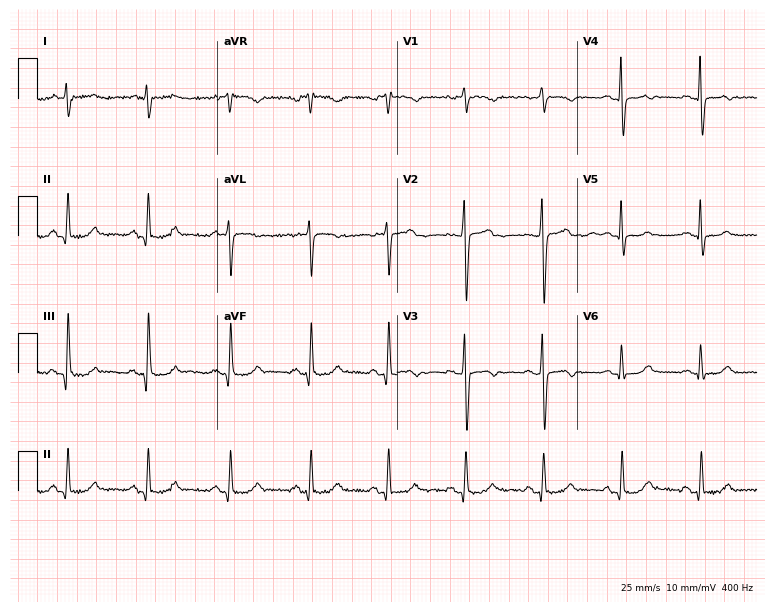
12-lead ECG from a female, 48 years old (7.3-second recording at 400 Hz). No first-degree AV block, right bundle branch block, left bundle branch block, sinus bradycardia, atrial fibrillation or sinus tachycardia recorded for this tracing.